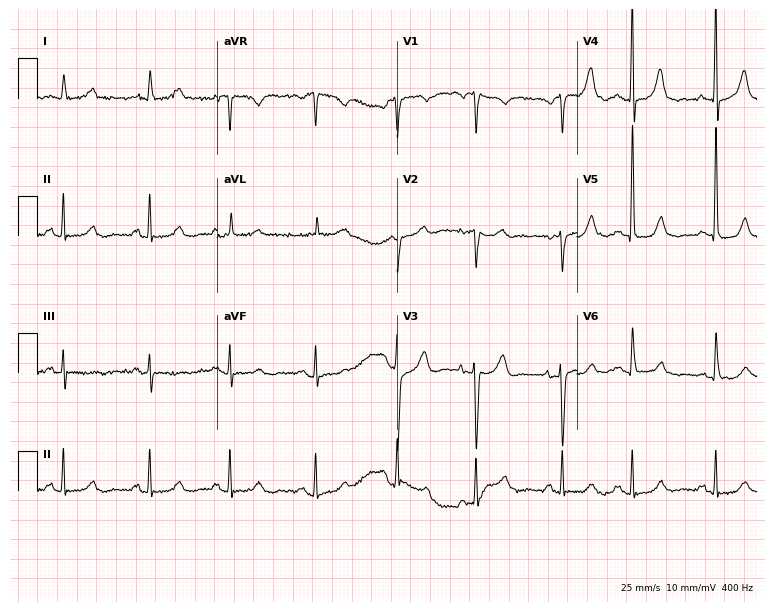
Standard 12-lead ECG recorded from a 68-year-old female (7.3-second recording at 400 Hz). None of these six findings is recorded: first-degree AV block, right bundle branch block (RBBB), left bundle branch block (LBBB), sinus bradycardia, atrial fibrillation (AF), sinus tachycardia.